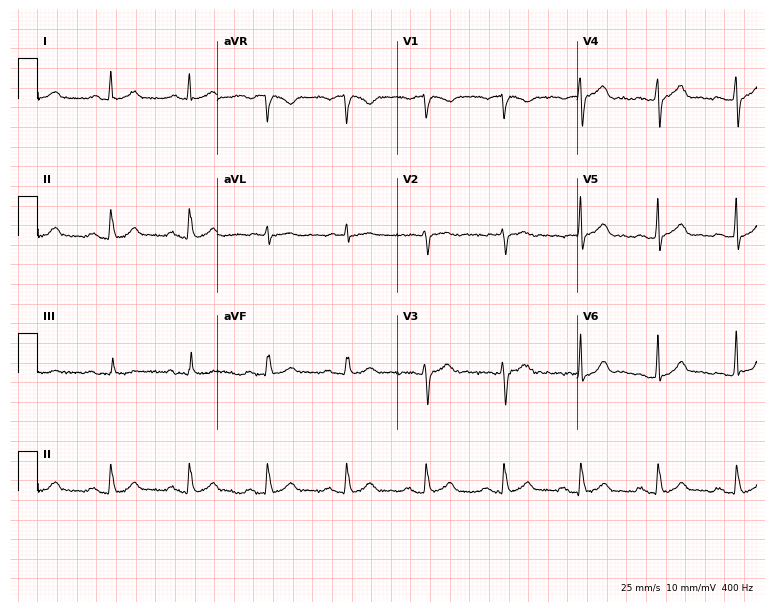
12-lead ECG from a 62-year-old male (7.3-second recording at 400 Hz). Shows first-degree AV block.